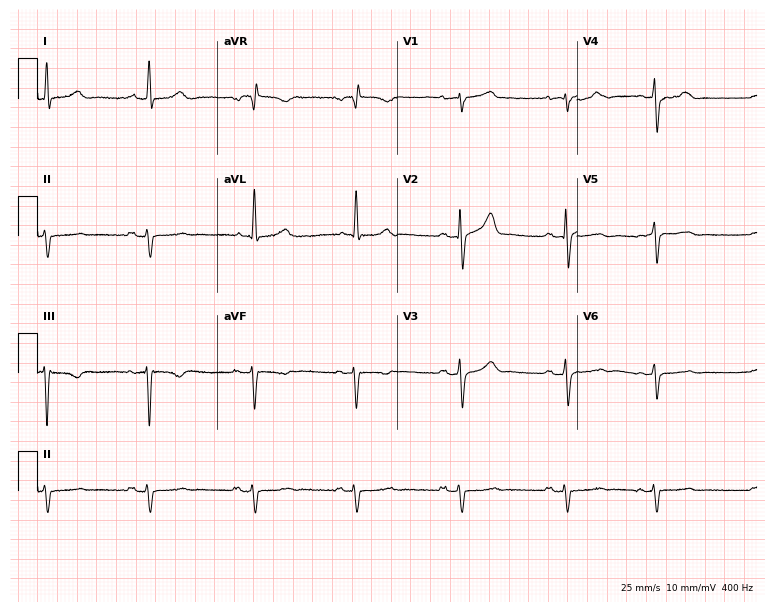
12-lead ECG from a 76-year-old male patient. Screened for six findings — first-degree AV block, right bundle branch block (RBBB), left bundle branch block (LBBB), sinus bradycardia, atrial fibrillation (AF), sinus tachycardia — none is recorded. Findings outside these six are not listed.